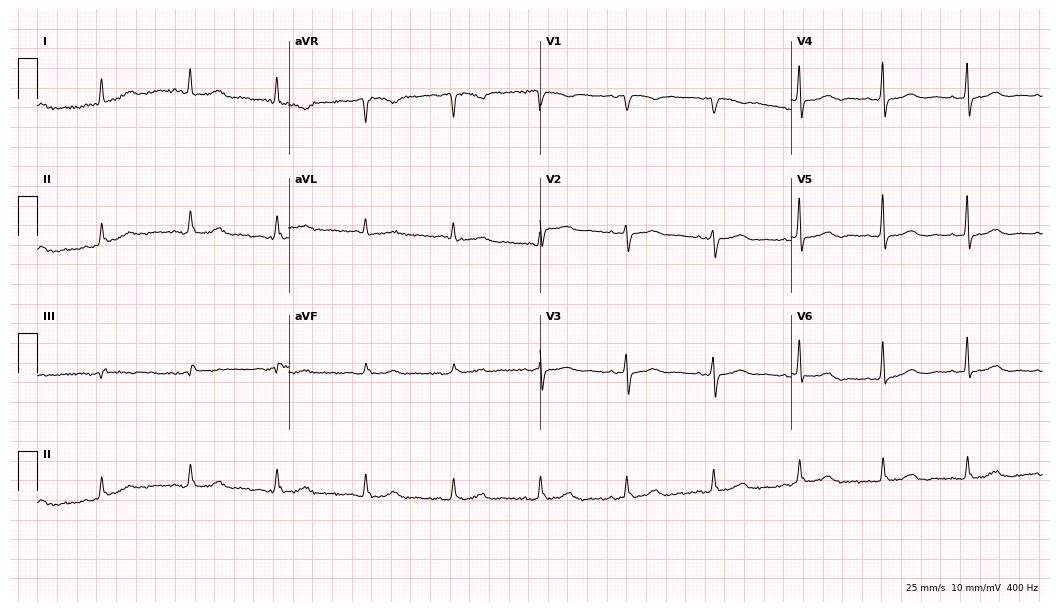
ECG (10.2-second recording at 400 Hz) — a female patient, 80 years old. Labelled as a normal ECG.